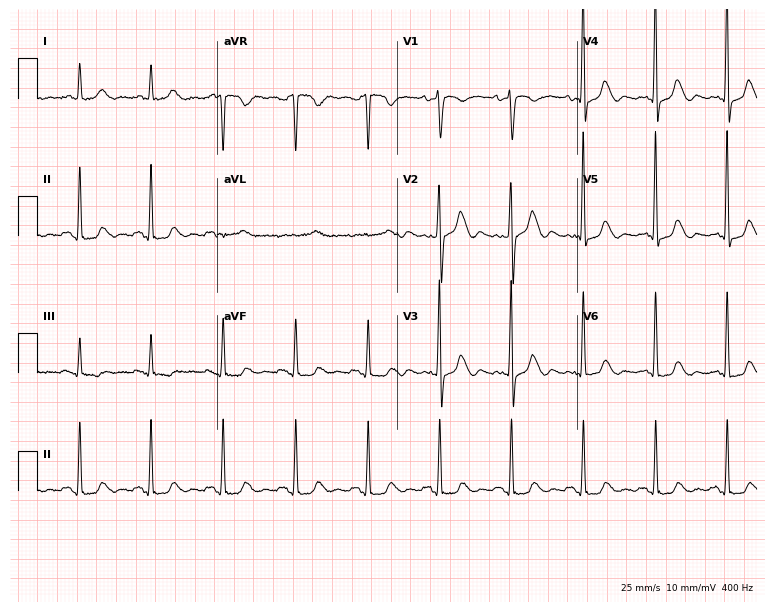
ECG (7.3-second recording at 400 Hz) — an 81-year-old woman. Screened for six findings — first-degree AV block, right bundle branch block, left bundle branch block, sinus bradycardia, atrial fibrillation, sinus tachycardia — none is recorded.